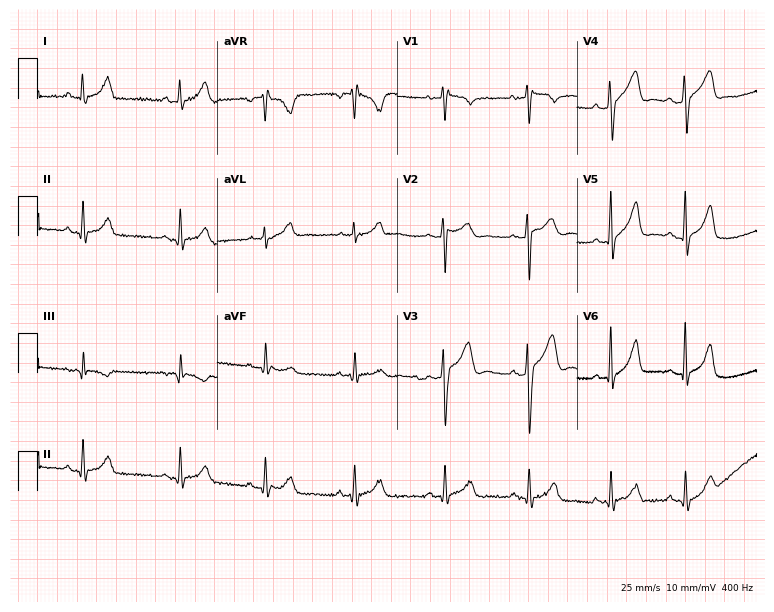
12-lead ECG from a male patient, 29 years old (7.3-second recording at 400 Hz). Recorded interpretation: within normal limits.